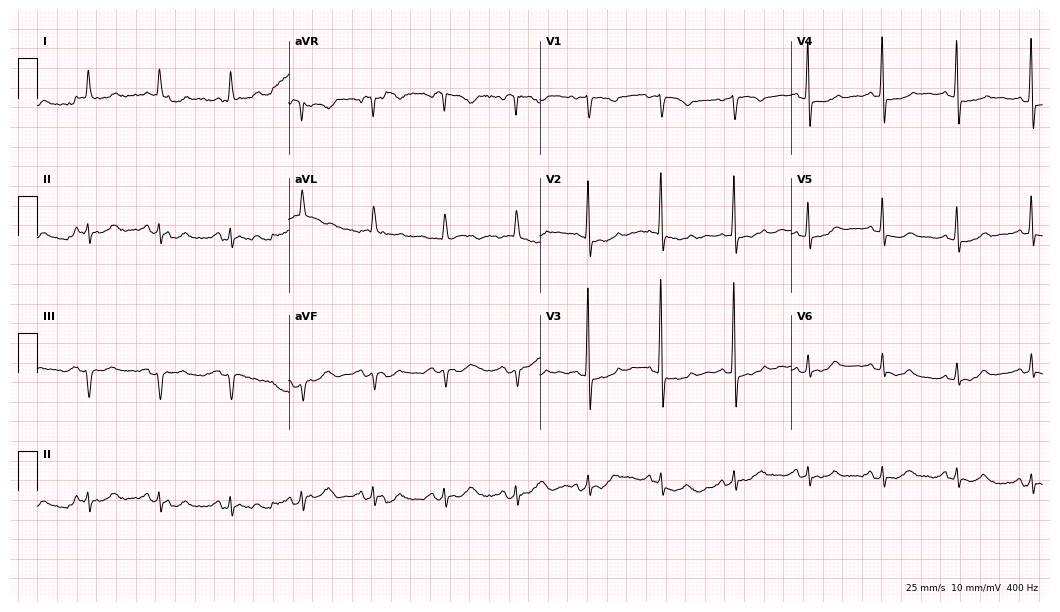
Resting 12-lead electrocardiogram. Patient: a woman, 82 years old. None of these six findings is recorded: first-degree AV block, right bundle branch block, left bundle branch block, sinus bradycardia, atrial fibrillation, sinus tachycardia. Findings outside these six are not listed.